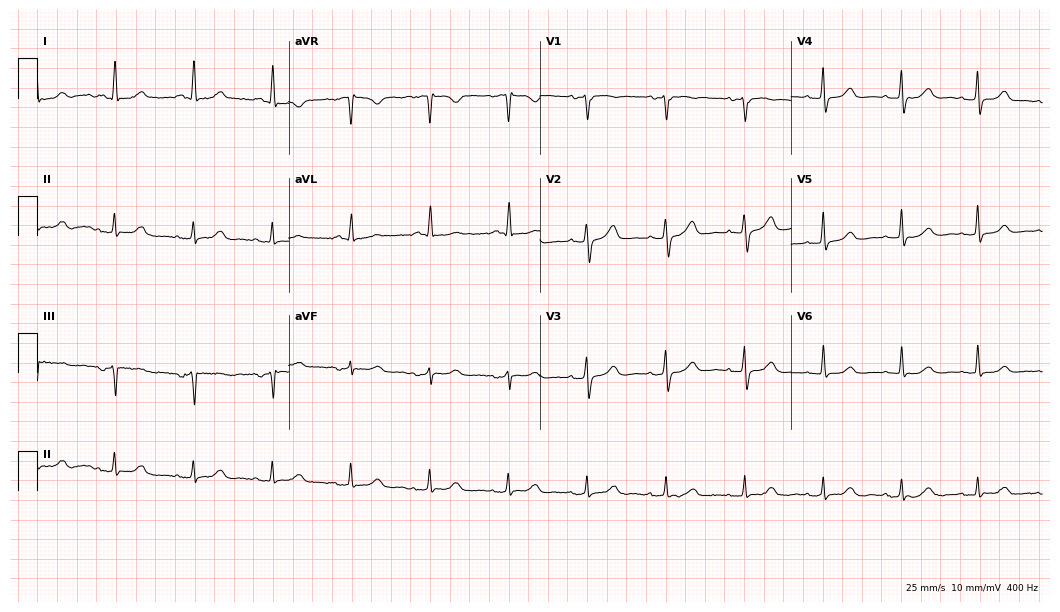
Electrocardiogram, a 77-year-old female patient. Overall reading on record: normal ECG.